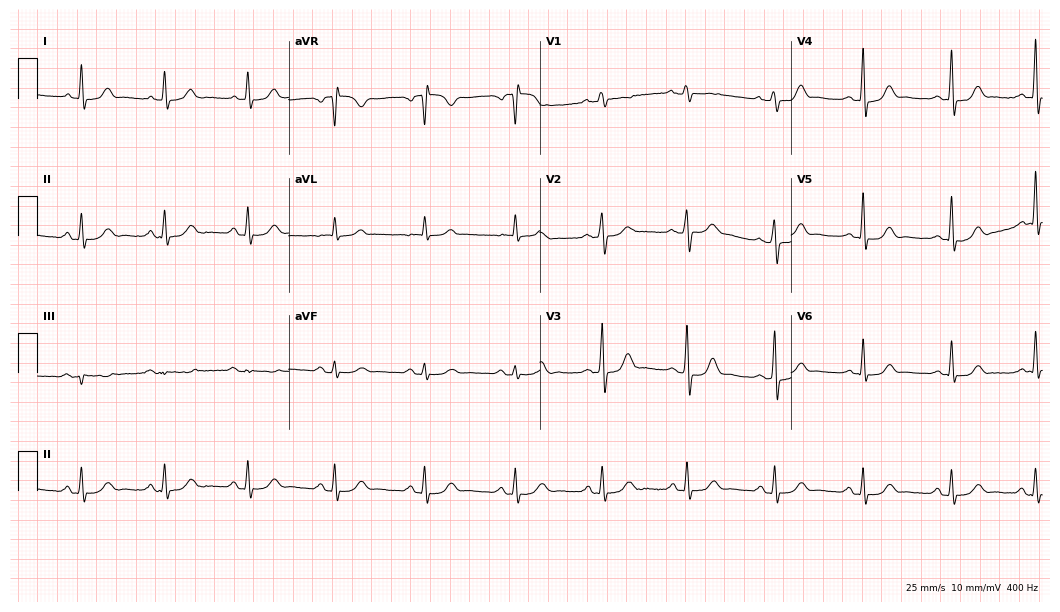
ECG (10.2-second recording at 400 Hz) — a 60-year-old woman. Screened for six findings — first-degree AV block, right bundle branch block (RBBB), left bundle branch block (LBBB), sinus bradycardia, atrial fibrillation (AF), sinus tachycardia — none is recorded.